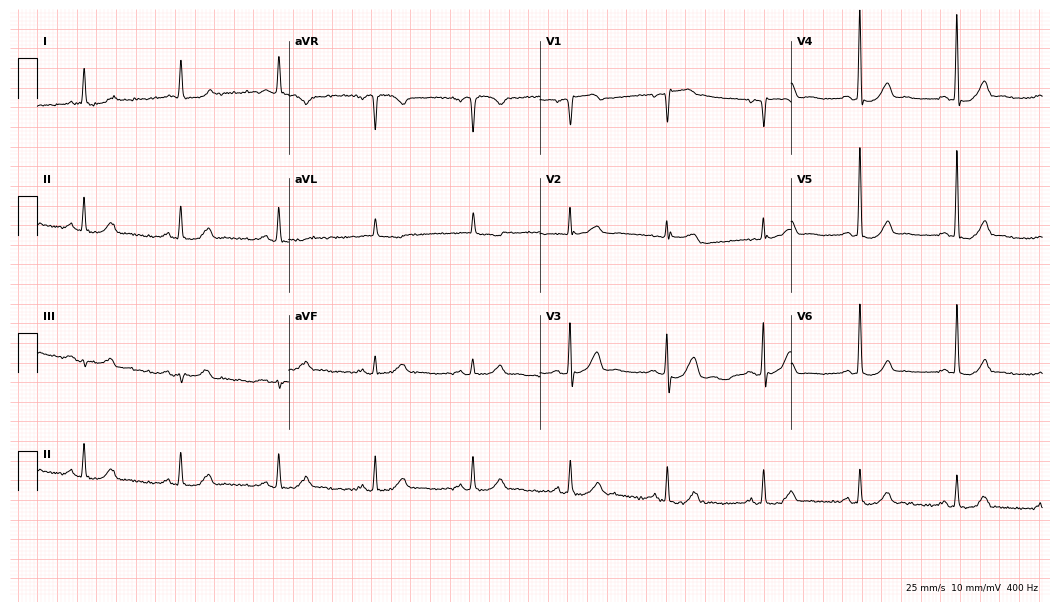
ECG (10.2-second recording at 400 Hz) — a 78-year-old female. Screened for six findings — first-degree AV block, right bundle branch block, left bundle branch block, sinus bradycardia, atrial fibrillation, sinus tachycardia — none is recorded. Findings outside these six are not listed.